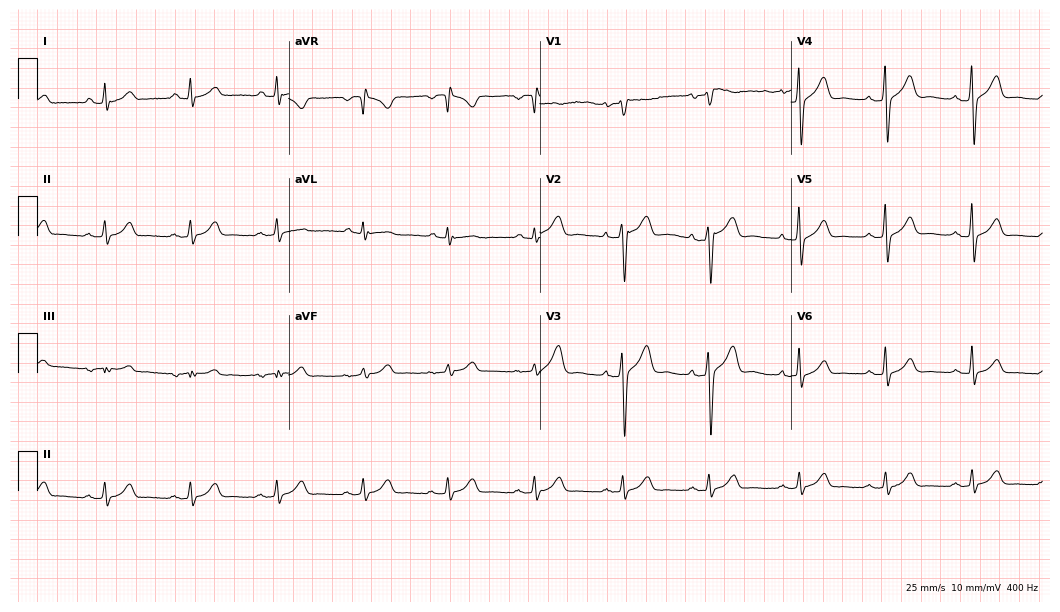
Electrocardiogram (10.2-second recording at 400 Hz), a 48-year-old man. Of the six screened findings (first-degree AV block, right bundle branch block, left bundle branch block, sinus bradycardia, atrial fibrillation, sinus tachycardia), none is recorded.